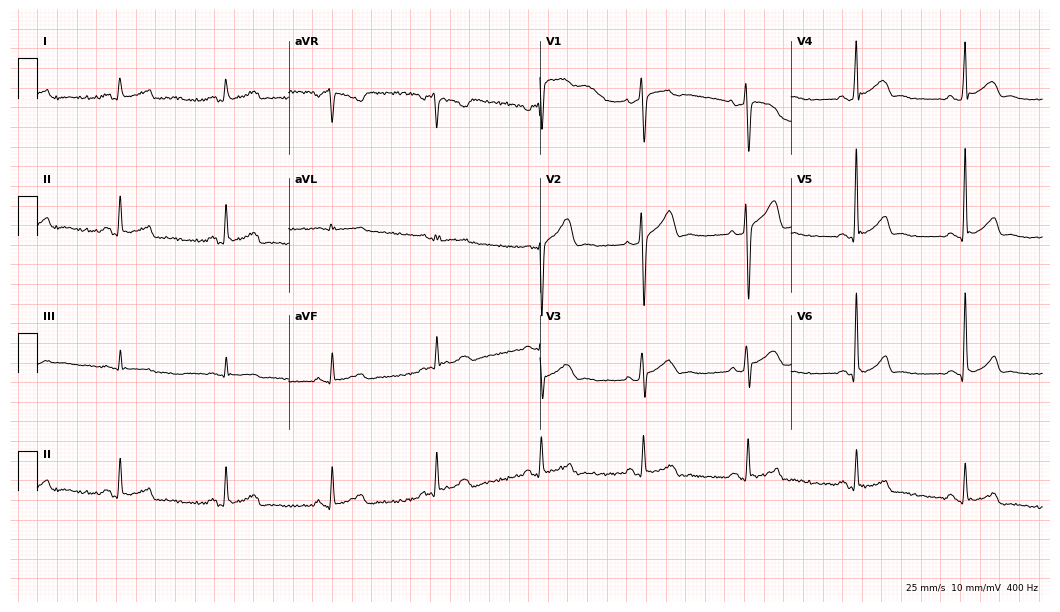
Electrocardiogram (10.2-second recording at 400 Hz), a male patient, 36 years old. Of the six screened findings (first-degree AV block, right bundle branch block (RBBB), left bundle branch block (LBBB), sinus bradycardia, atrial fibrillation (AF), sinus tachycardia), none is recorded. Other findings, if any, are not listed.